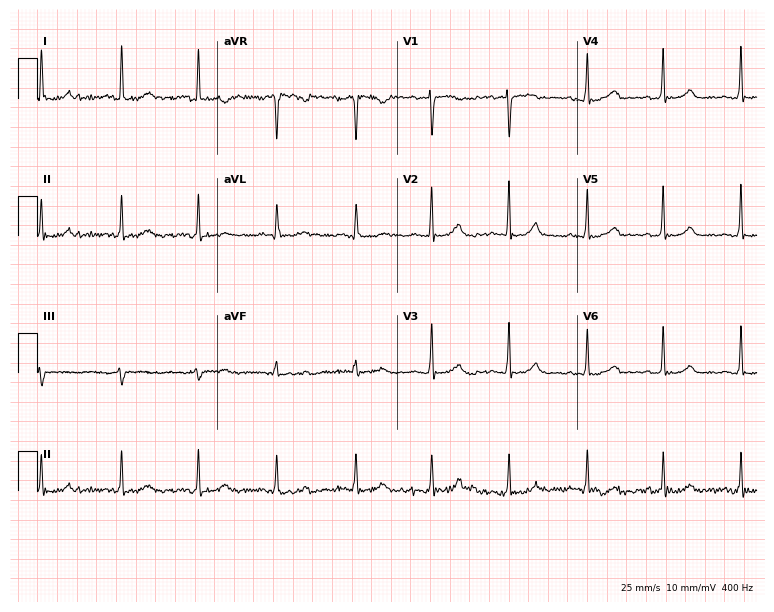
Standard 12-lead ECG recorded from a female patient, 65 years old. Read as a normal ECG.